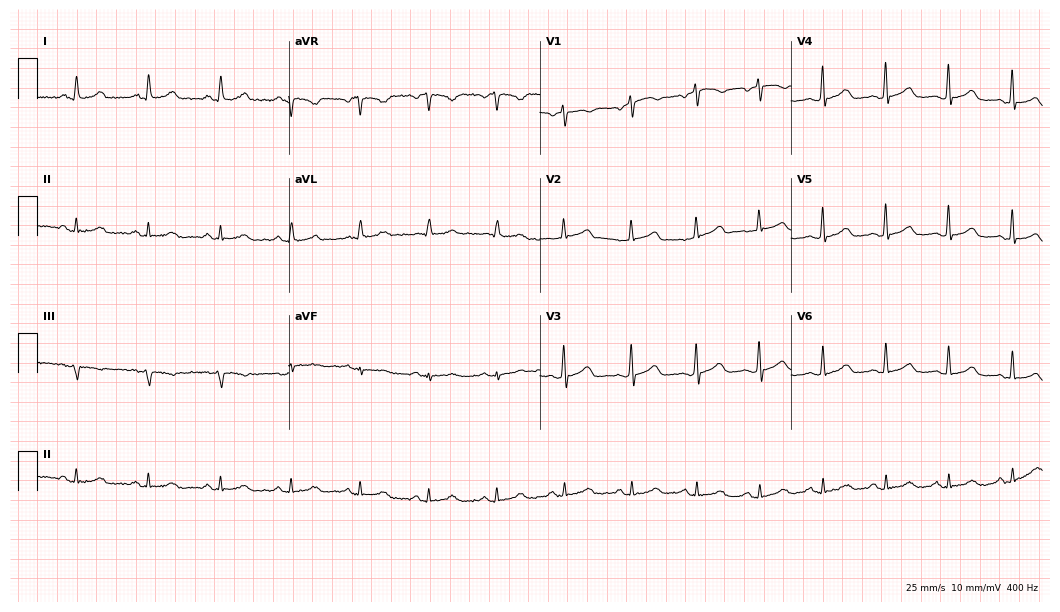
ECG — a woman, 57 years old. Labelled as a normal ECG.